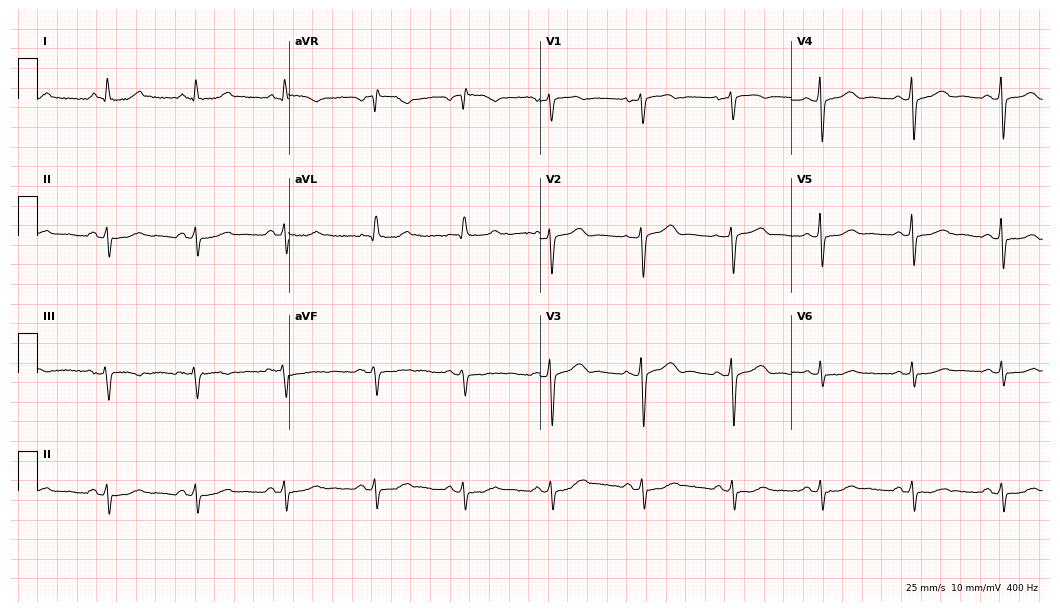
Resting 12-lead electrocardiogram. Patient: a 55-year-old woman. None of these six findings is recorded: first-degree AV block, right bundle branch block (RBBB), left bundle branch block (LBBB), sinus bradycardia, atrial fibrillation (AF), sinus tachycardia. Only these six findings were labelled.